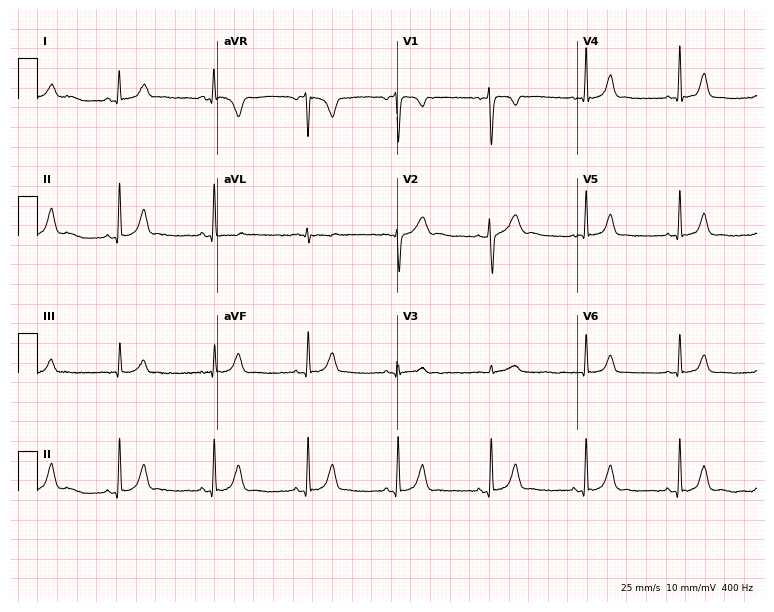
Resting 12-lead electrocardiogram (7.3-second recording at 400 Hz). Patient: a female, 18 years old. Read as a normal ECG.